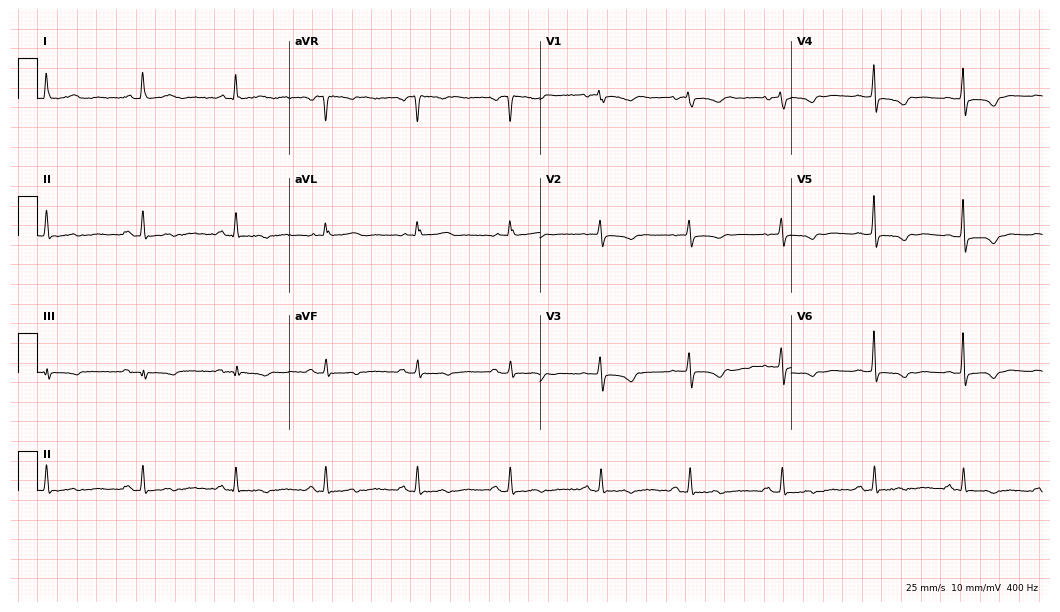
Resting 12-lead electrocardiogram. Patient: a female, 66 years old. None of these six findings is recorded: first-degree AV block, right bundle branch block (RBBB), left bundle branch block (LBBB), sinus bradycardia, atrial fibrillation (AF), sinus tachycardia.